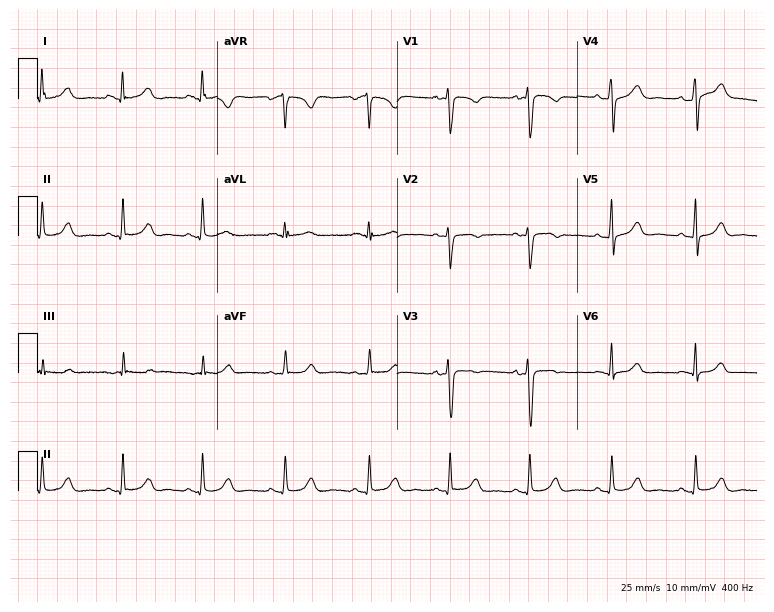
Resting 12-lead electrocardiogram. Patient: a 36-year-old woman. Read as a normal ECG.